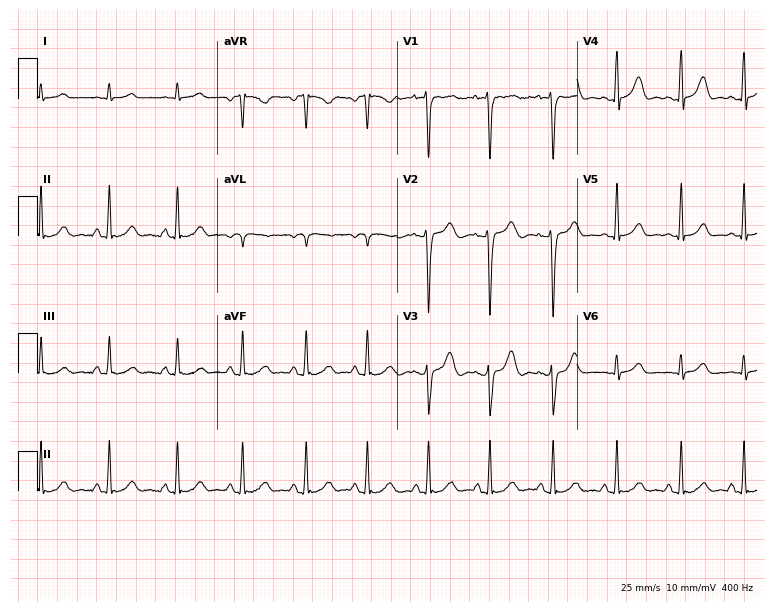
ECG (7.3-second recording at 400 Hz) — a 34-year-old male patient. Screened for six findings — first-degree AV block, right bundle branch block (RBBB), left bundle branch block (LBBB), sinus bradycardia, atrial fibrillation (AF), sinus tachycardia — none is recorded. Only these six findings were labelled.